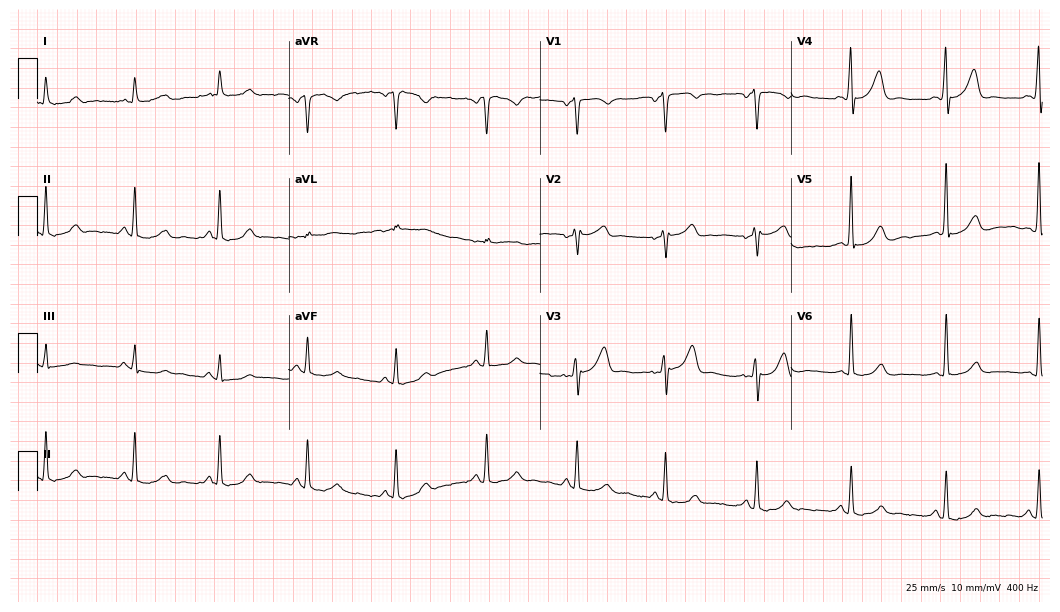
12-lead ECG from an 82-year-old male patient. Screened for six findings — first-degree AV block, right bundle branch block, left bundle branch block, sinus bradycardia, atrial fibrillation, sinus tachycardia — none is recorded.